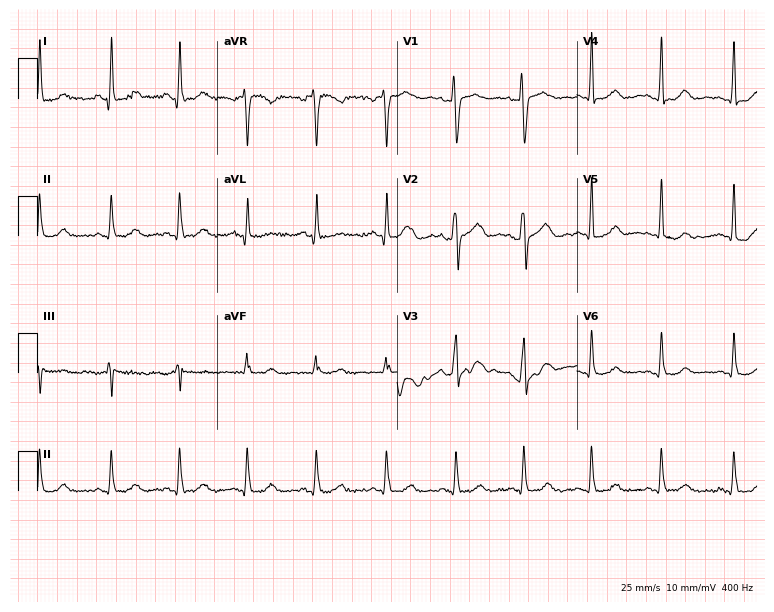
Standard 12-lead ECG recorded from a 33-year-old woman (7.3-second recording at 400 Hz). None of these six findings is recorded: first-degree AV block, right bundle branch block, left bundle branch block, sinus bradycardia, atrial fibrillation, sinus tachycardia. Other findings, if any, are not listed.